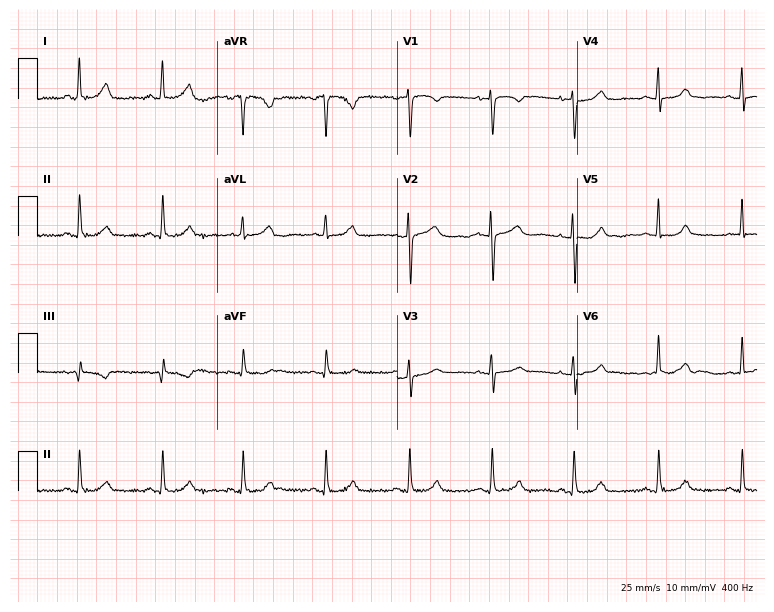
Electrocardiogram (7.3-second recording at 400 Hz), a woman, 44 years old. Of the six screened findings (first-degree AV block, right bundle branch block, left bundle branch block, sinus bradycardia, atrial fibrillation, sinus tachycardia), none is recorded.